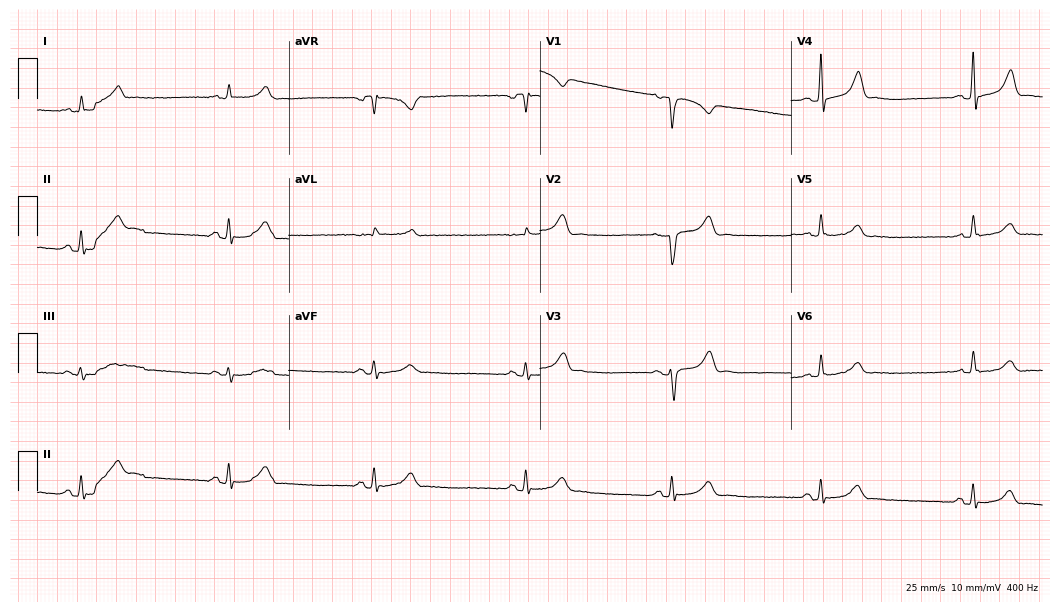
Resting 12-lead electrocardiogram. Patient: a 57-year-old man. The tracing shows sinus bradycardia (a sinus rate of 50 beats per minute or less).